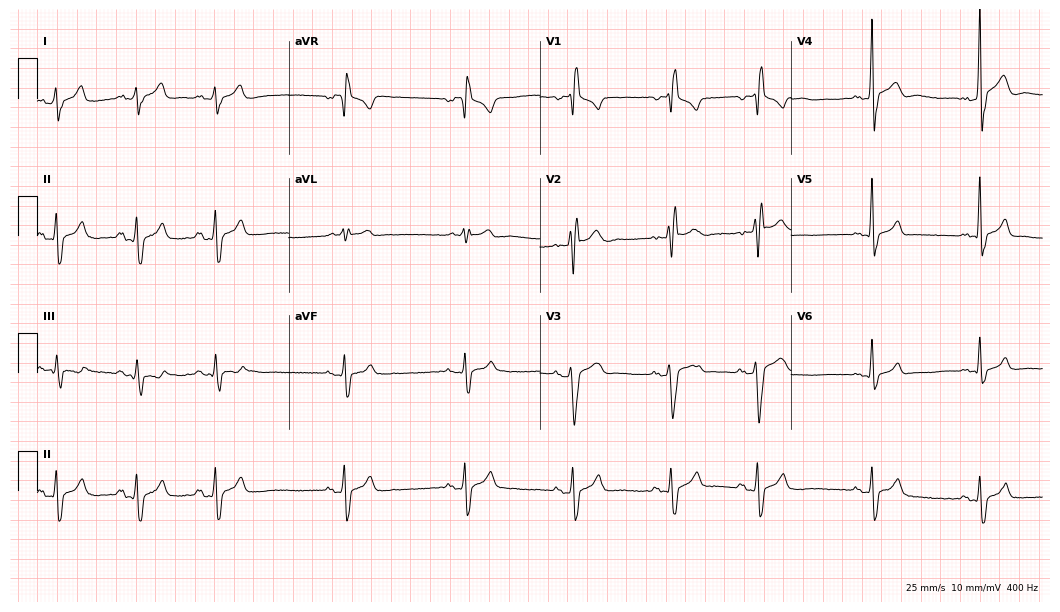
12-lead ECG from a 19-year-old male (10.2-second recording at 400 Hz). Shows right bundle branch block.